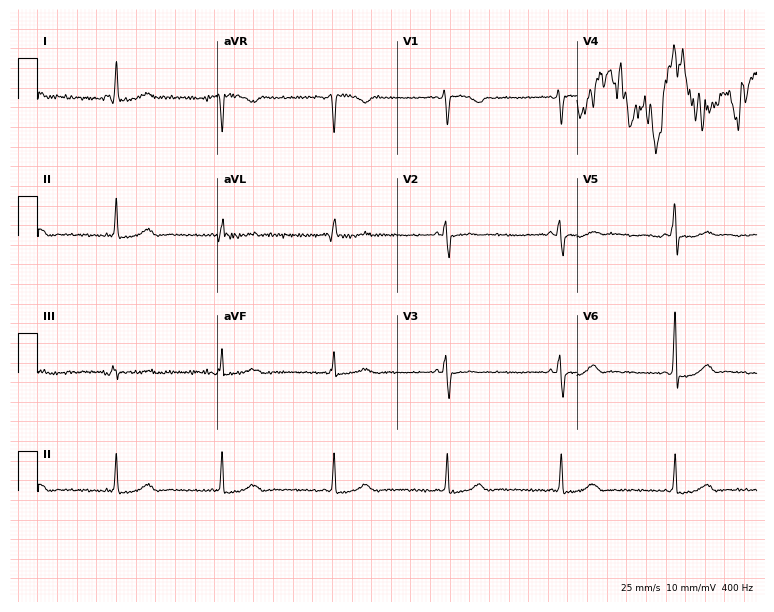
12-lead ECG from a 64-year-old female patient (7.3-second recording at 400 Hz). No first-degree AV block, right bundle branch block, left bundle branch block, sinus bradycardia, atrial fibrillation or sinus tachycardia recorded for this tracing.